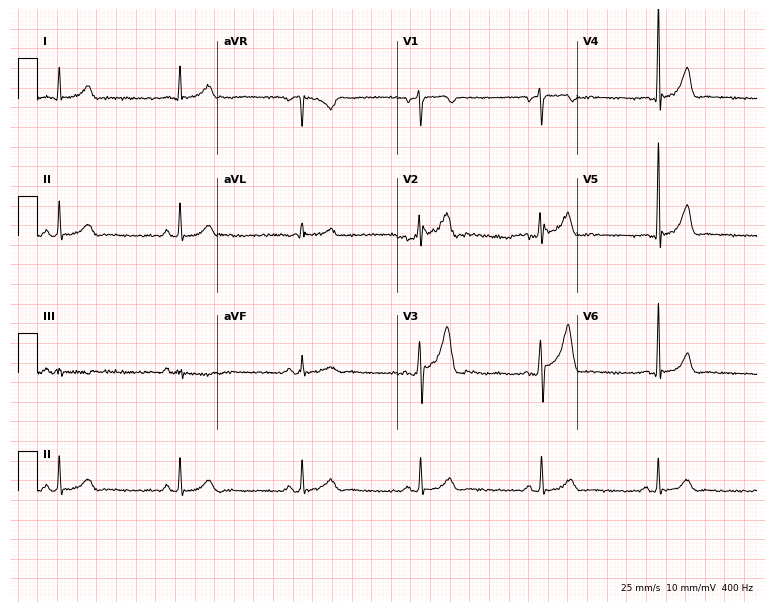
Standard 12-lead ECG recorded from a 47-year-old man (7.3-second recording at 400 Hz). The tracing shows sinus bradycardia (a sinus rate of 50 beats per minute or less).